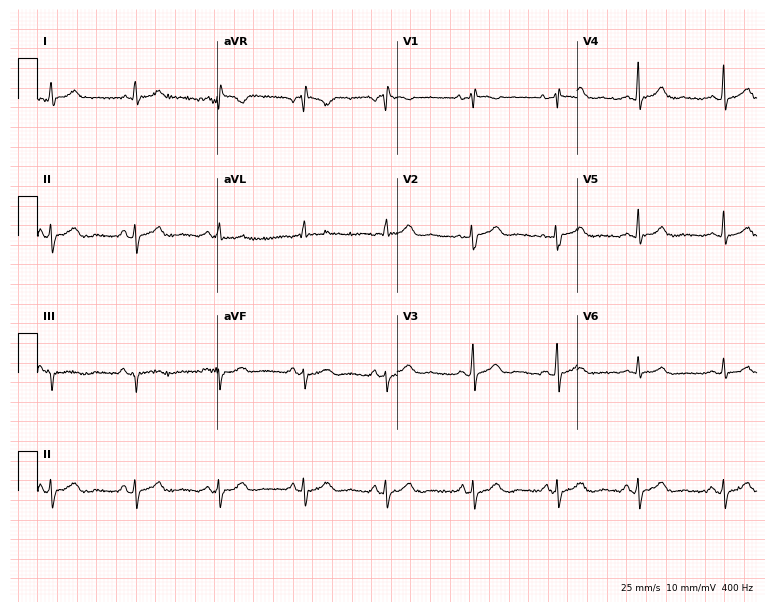
12-lead ECG (7.3-second recording at 400 Hz) from a 17-year-old female patient. Screened for six findings — first-degree AV block, right bundle branch block (RBBB), left bundle branch block (LBBB), sinus bradycardia, atrial fibrillation (AF), sinus tachycardia — none is recorded.